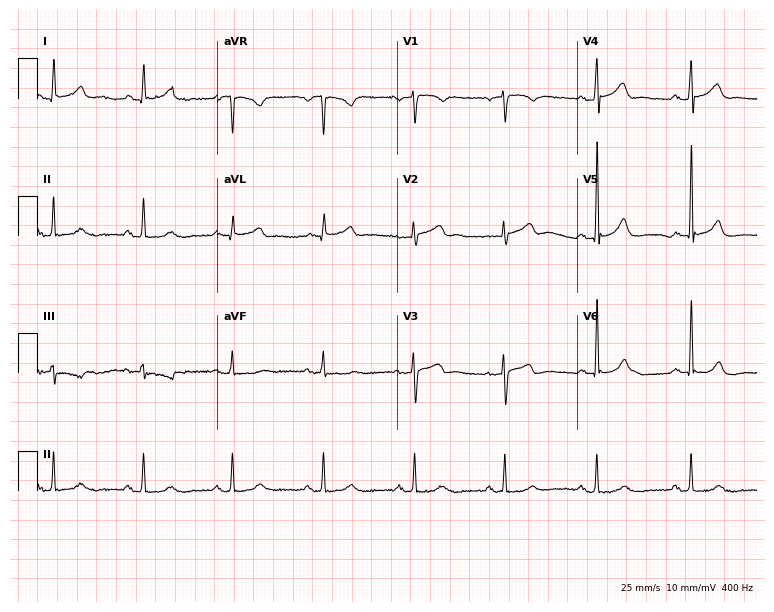
Standard 12-lead ECG recorded from a female, 58 years old. Read as a normal ECG.